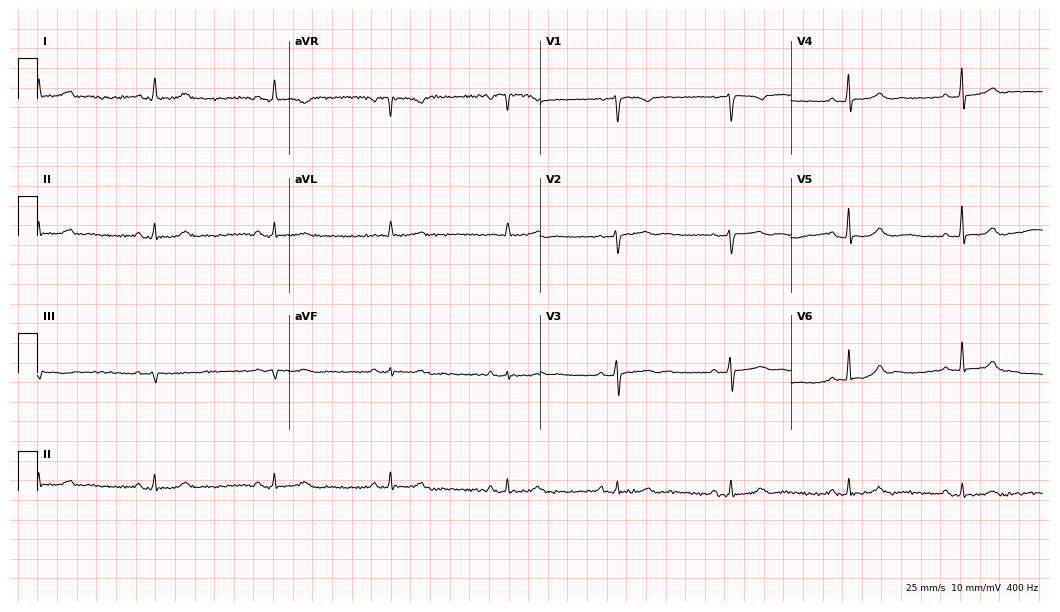
Electrocardiogram (10.2-second recording at 400 Hz), a female patient, 25 years old. Of the six screened findings (first-degree AV block, right bundle branch block (RBBB), left bundle branch block (LBBB), sinus bradycardia, atrial fibrillation (AF), sinus tachycardia), none is recorded.